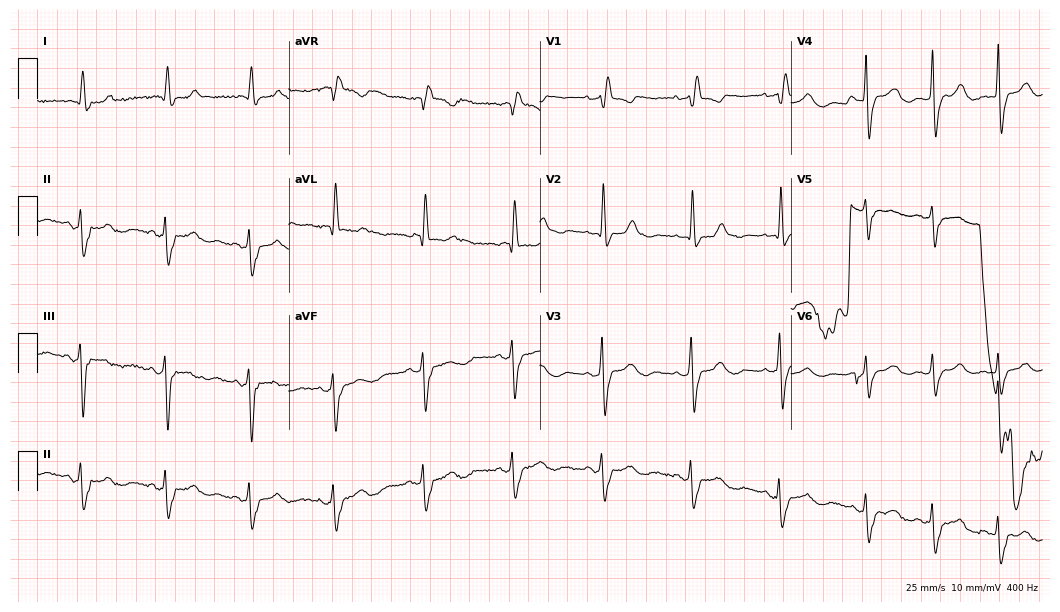
ECG (10.2-second recording at 400 Hz) — an 83-year-old female patient. Findings include right bundle branch block (RBBB).